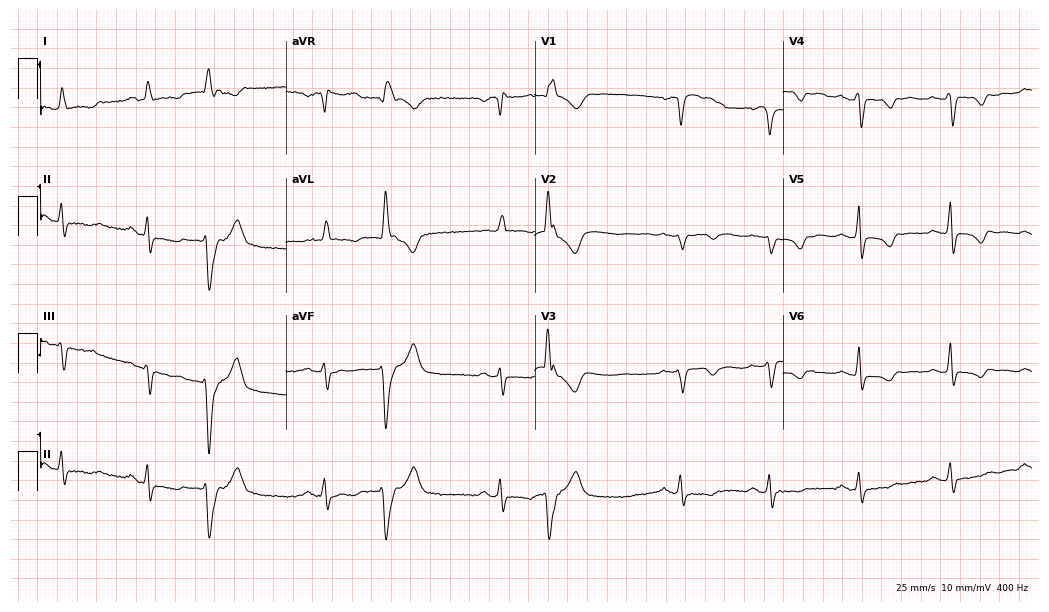
12-lead ECG (10.1-second recording at 400 Hz) from a 71-year-old female. Screened for six findings — first-degree AV block, right bundle branch block, left bundle branch block, sinus bradycardia, atrial fibrillation, sinus tachycardia — none is recorded.